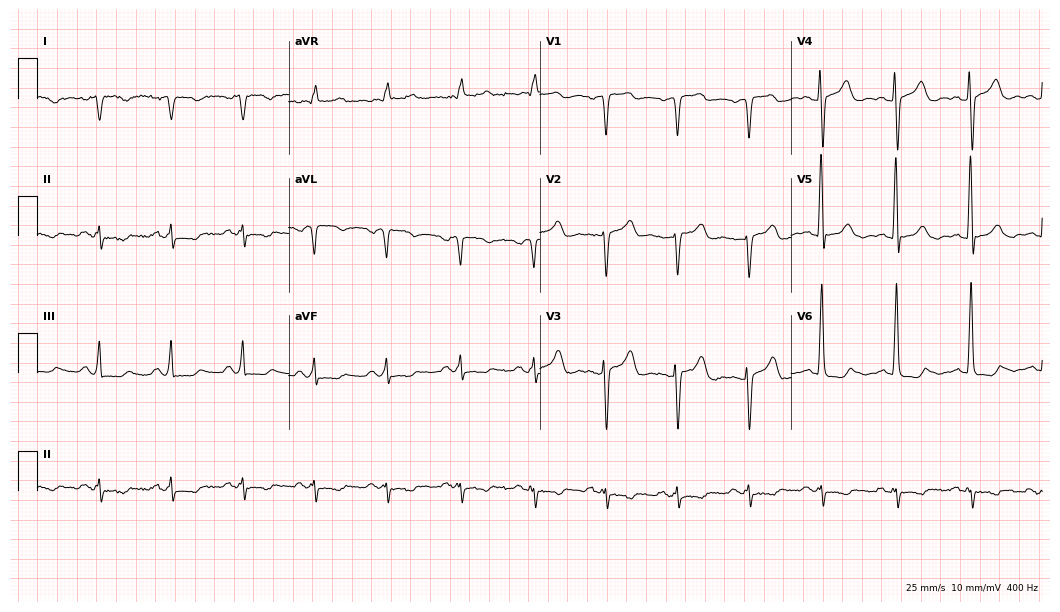
12-lead ECG from a male patient, 62 years old (10.2-second recording at 400 Hz). No first-degree AV block, right bundle branch block, left bundle branch block, sinus bradycardia, atrial fibrillation or sinus tachycardia recorded for this tracing.